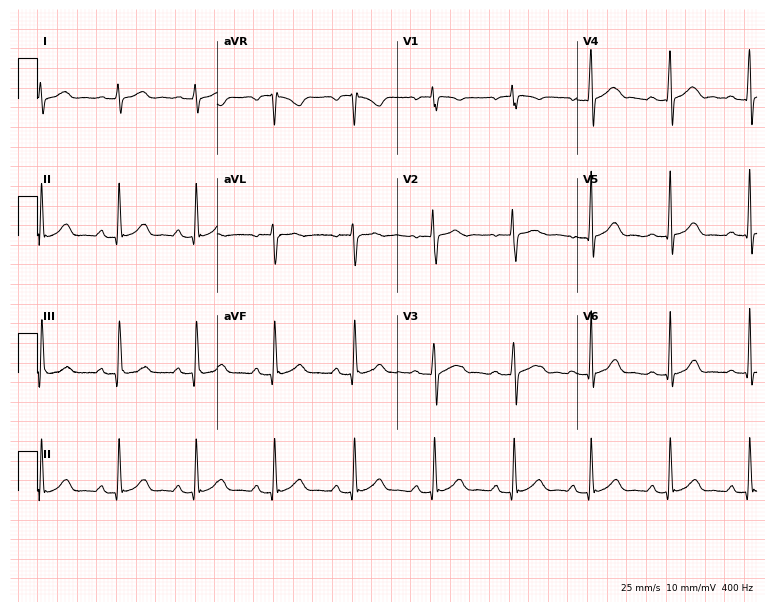
12-lead ECG from a 17-year-old woman. Labelled as a normal ECG.